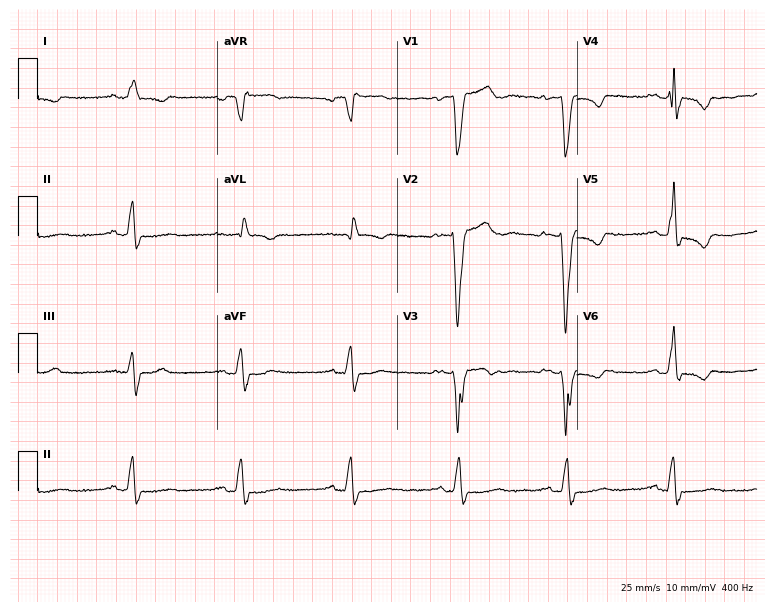
12-lead ECG from an 83-year-old male patient (7.3-second recording at 400 Hz). Shows left bundle branch block.